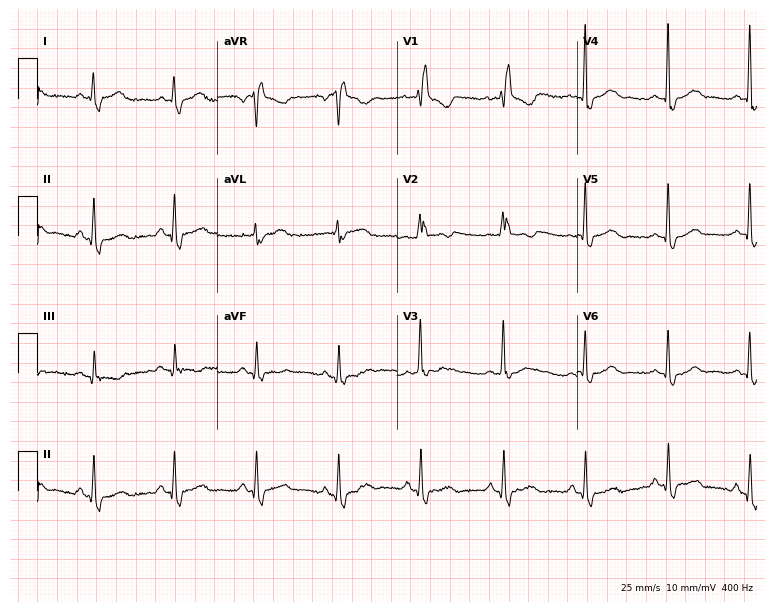
12-lead ECG (7.3-second recording at 400 Hz) from a 41-year-old woman. Findings include right bundle branch block (RBBB).